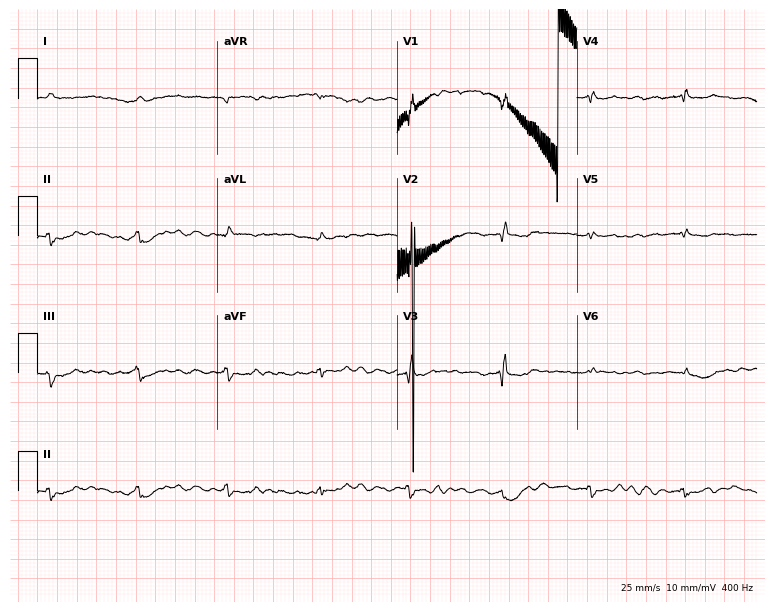
ECG (7.3-second recording at 400 Hz) — a 78-year-old woman. Findings include atrial fibrillation.